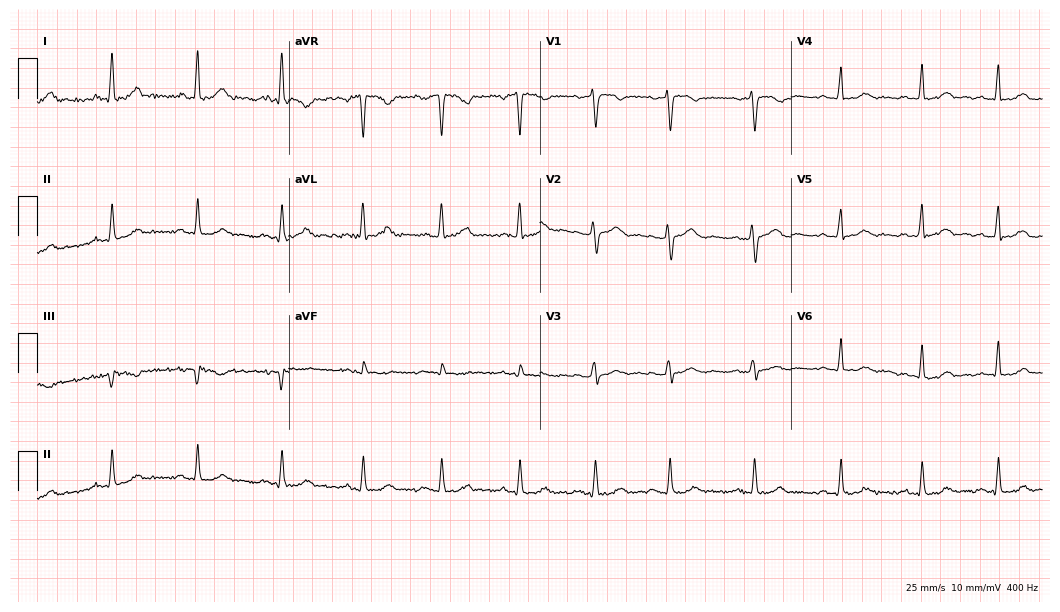
Standard 12-lead ECG recorded from a 27-year-old female patient. Read as a normal ECG.